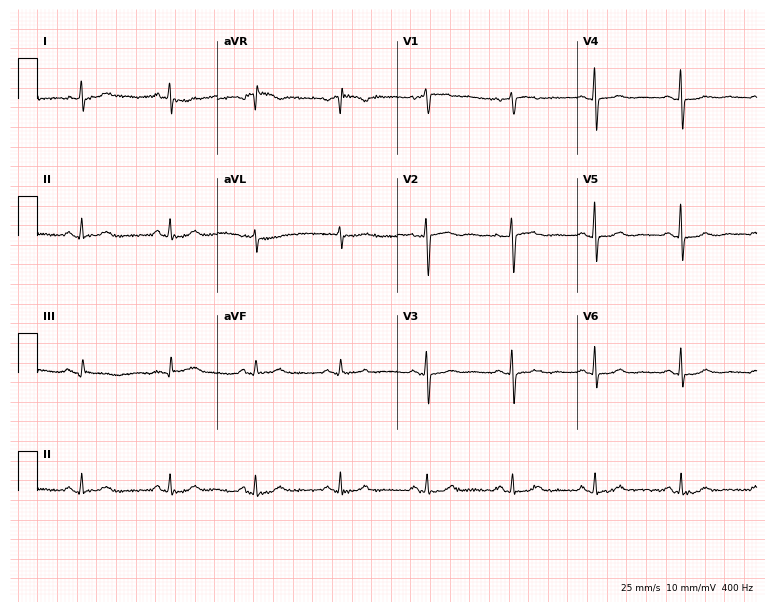
12-lead ECG from a 62-year-old female patient. Screened for six findings — first-degree AV block, right bundle branch block (RBBB), left bundle branch block (LBBB), sinus bradycardia, atrial fibrillation (AF), sinus tachycardia — none is recorded. Findings outside these six are not listed.